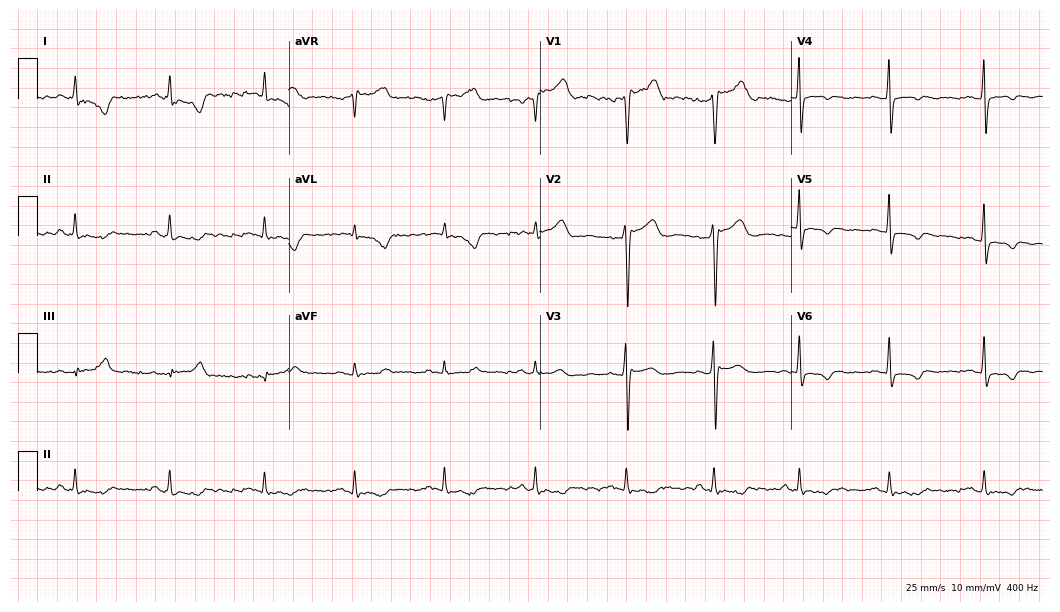
ECG (10.2-second recording at 400 Hz) — a 51-year-old man. Screened for six findings — first-degree AV block, right bundle branch block, left bundle branch block, sinus bradycardia, atrial fibrillation, sinus tachycardia — none is recorded.